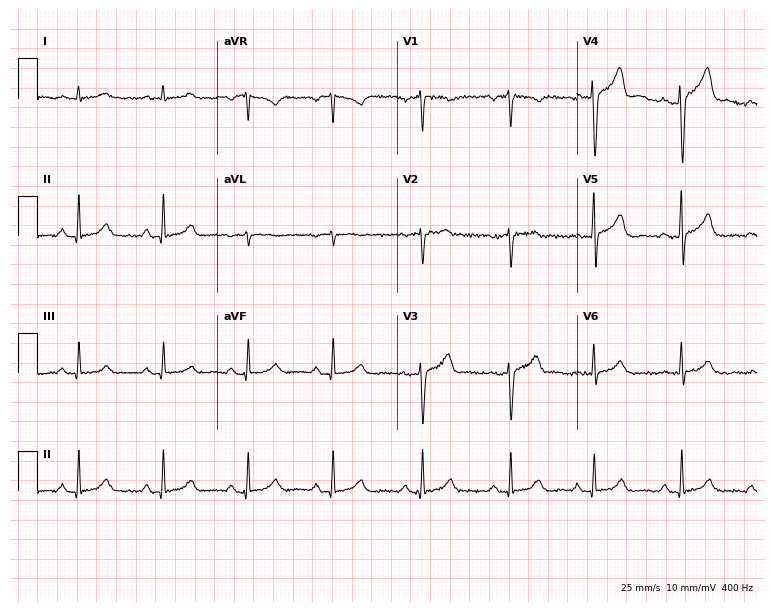
ECG — a male patient, 81 years old. Screened for six findings — first-degree AV block, right bundle branch block, left bundle branch block, sinus bradycardia, atrial fibrillation, sinus tachycardia — none is recorded.